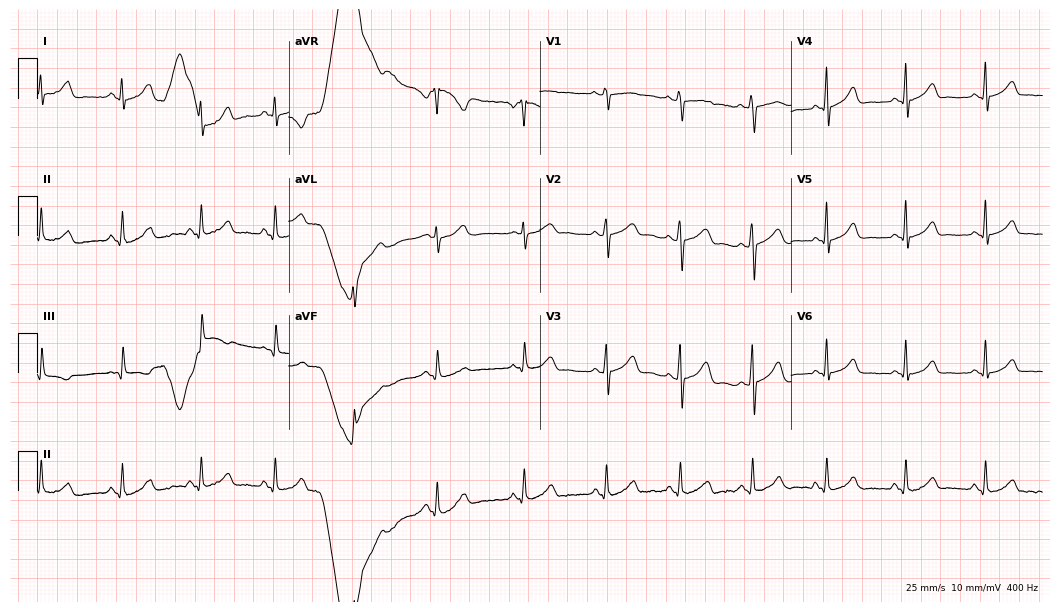
Standard 12-lead ECG recorded from a 44-year-old female patient (10.2-second recording at 400 Hz). None of these six findings is recorded: first-degree AV block, right bundle branch block (RBBB), left bundle branch block (LBBB), sinus bradycardia, atrial fibrillation (AF), sinus tachycardia.